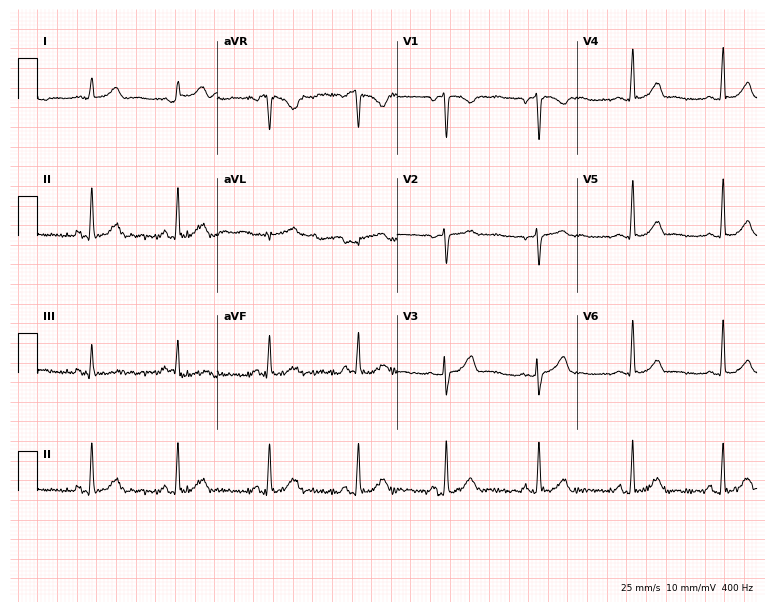
ECG — a 35-year-old woman. Labelled as a normal ECG.